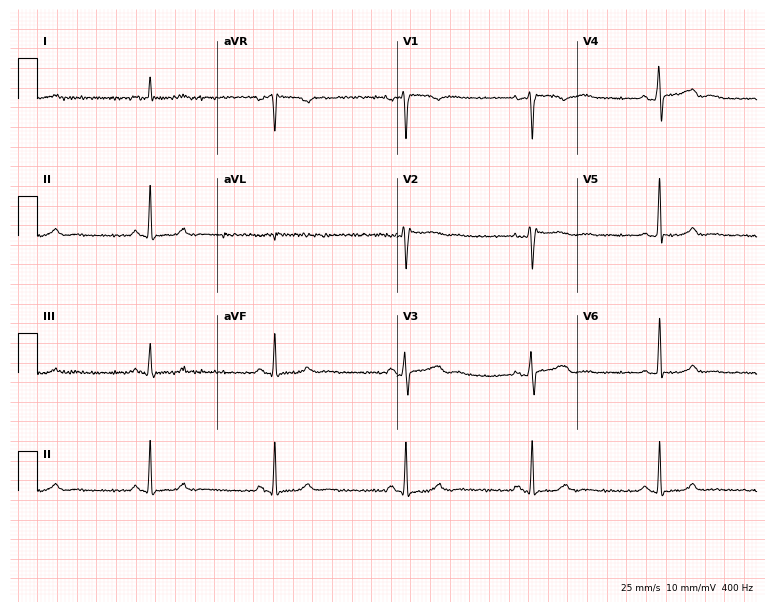
Resting 12-lead electrocardiogram. Patient: a 54-year-old male. The tracing shows sinus bradycardia (a sinus rate of 50 beats per minute or less).